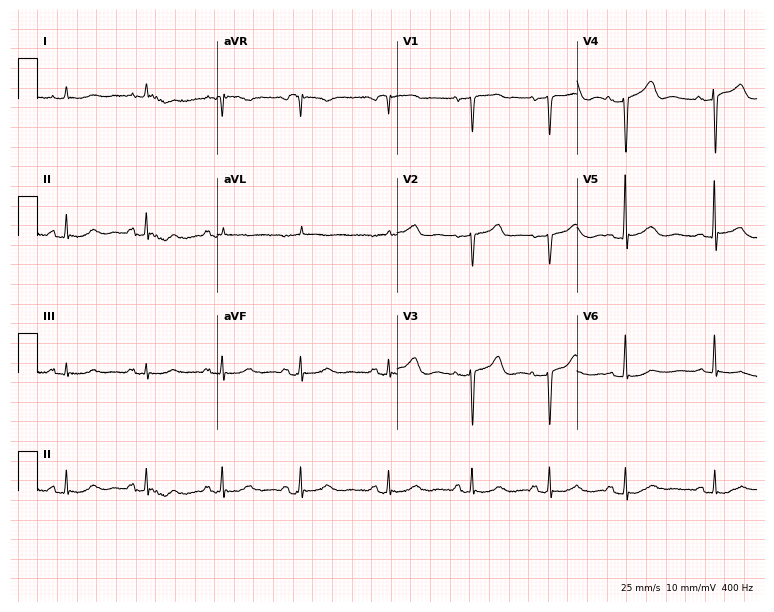
Electrocardiogram, a woman, 84 years old. Of the six screened findings (first-degree AV block, right bundle branch block, left bundle branch block, sinus bradycardia, atrial fibrillation, sinus tachycardia), none is recorded. Findings outside these six are not listed.